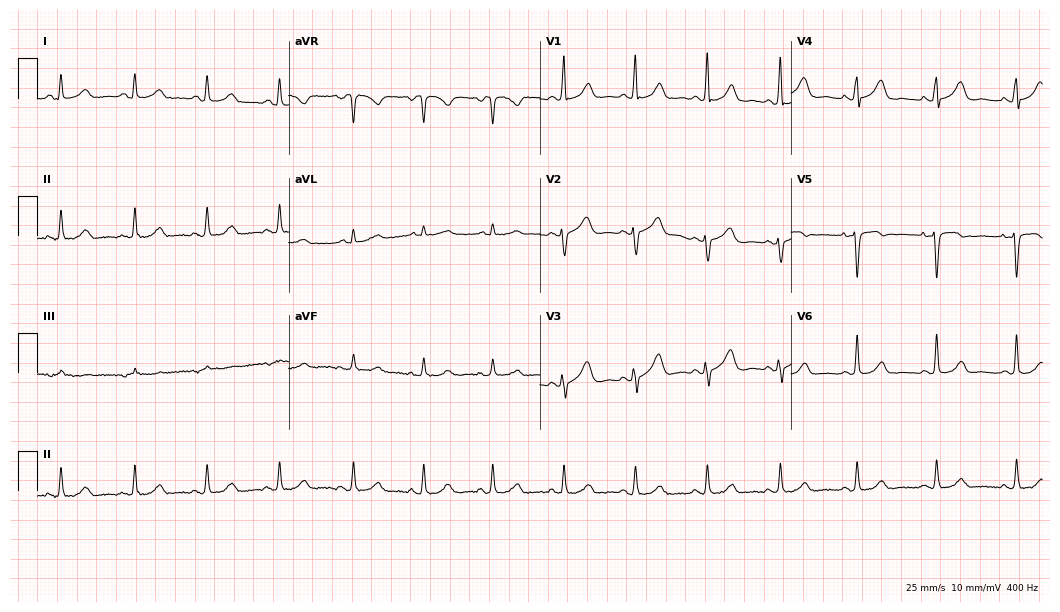
ECG — a 44-year-old female patient. Screened for six findings — first-degree AV block, right bundle branch block (RBBB), left bundle branch block (LBBB), sinus bradycardia, atrial fibrillation (AF), sinus tachycardia — none is recorded.